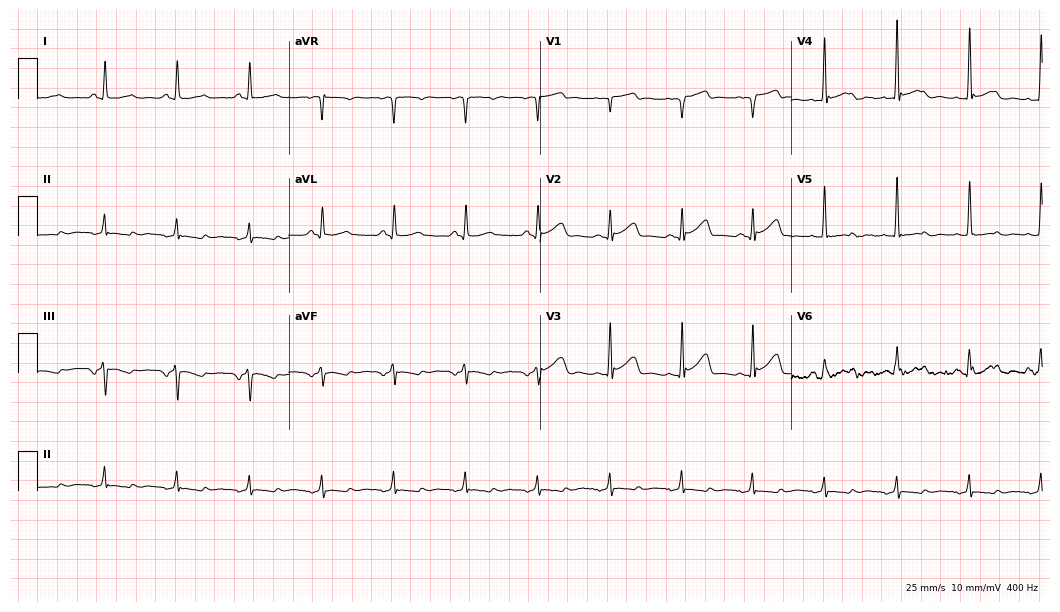
12-lead ECG from a 75-year-old male. No first-degree AV block, right bundle branch block, left bundle branch block, sinus bradycardia, atrial fibrillation or sinus tachycardia recorded for this tracing. Findings outside these six are not listed.